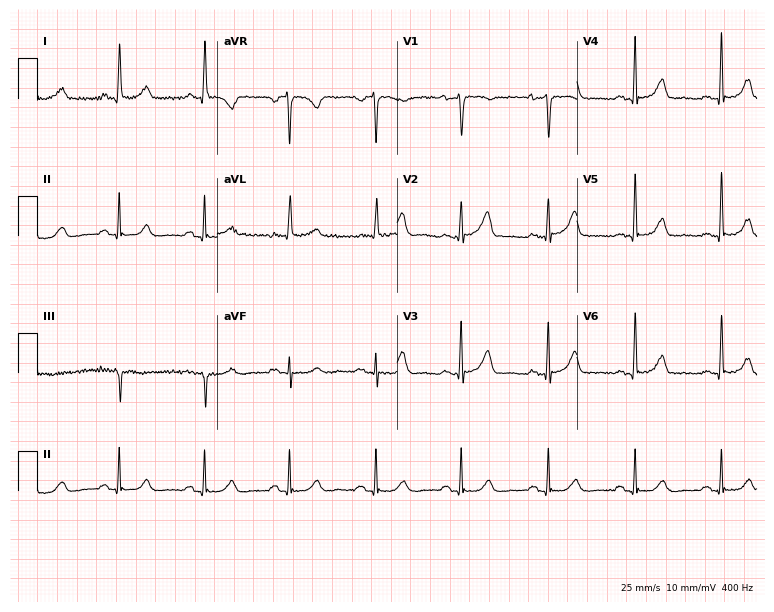
Resting 12-lead electrocardiogram (7.3-second recording at 400 Hz). Patient: a female, 71 years old. None of these six findings is recorded: first-degree AV block, right bundle branch block, left bundle branch block, sinus bradycardia, atrial fibrillation, sinus tachycardia.